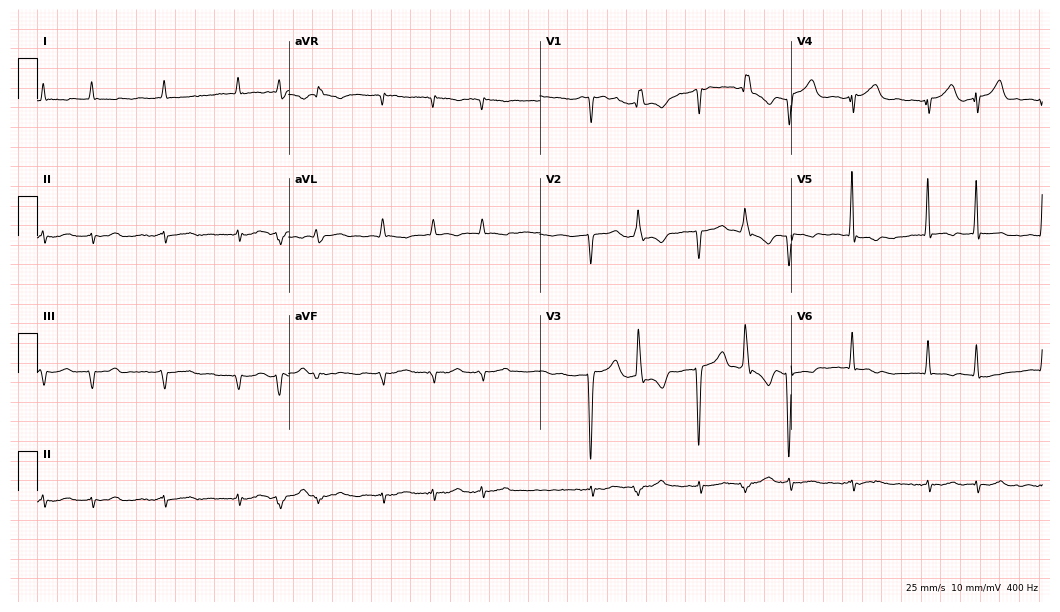
Resting 12-lead electrocardiogram. Patient: a male, 85 years old. None of these six findings is recorded: first-degree AV block, right bundle branch block, left bundle branch block, sinus bradycardia, atrial fibrillation, sinus tachycardia.